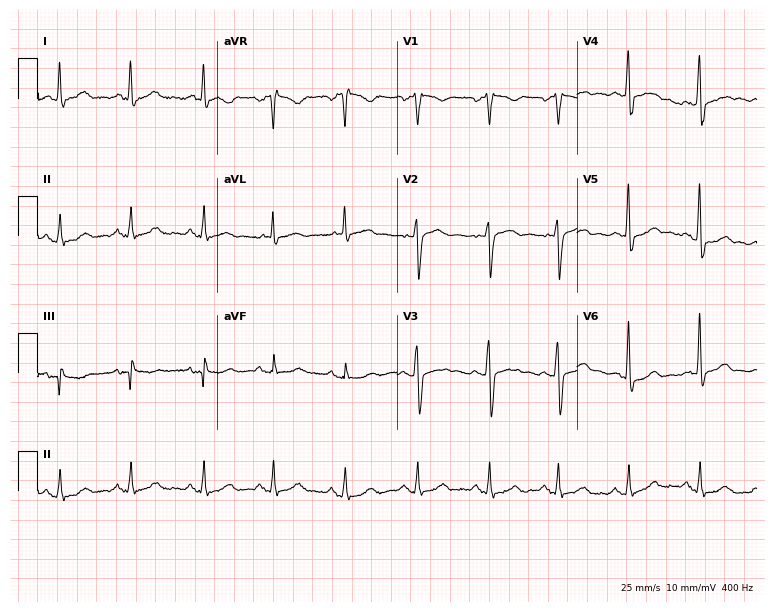
Electrocardiogram, a 55-year-old male. Overall reading on record: normal ECG.